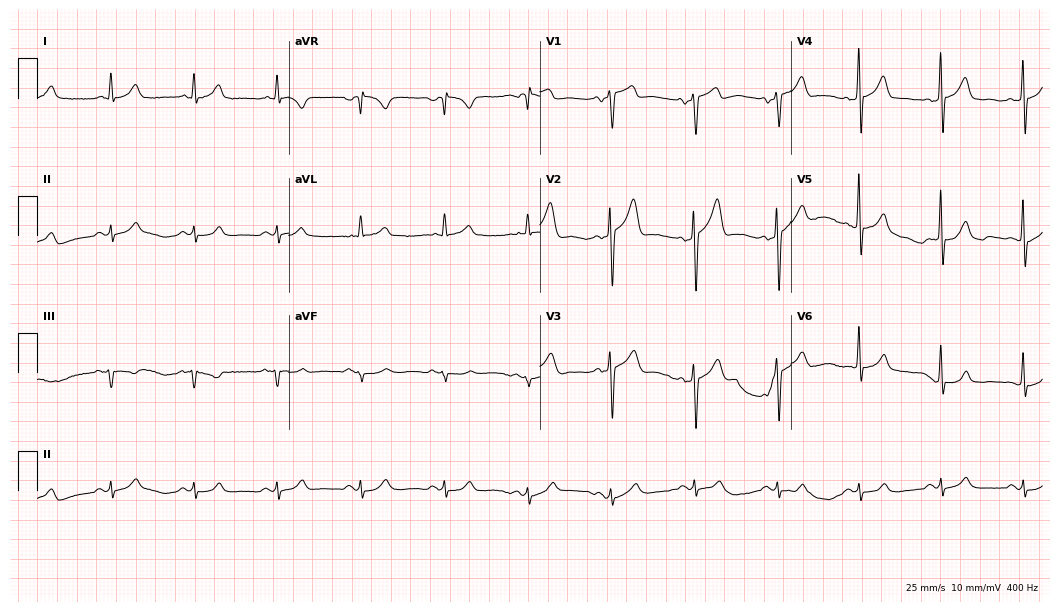
12-lead ECG from a 51-year-old man. Labelled as a normal ECG.